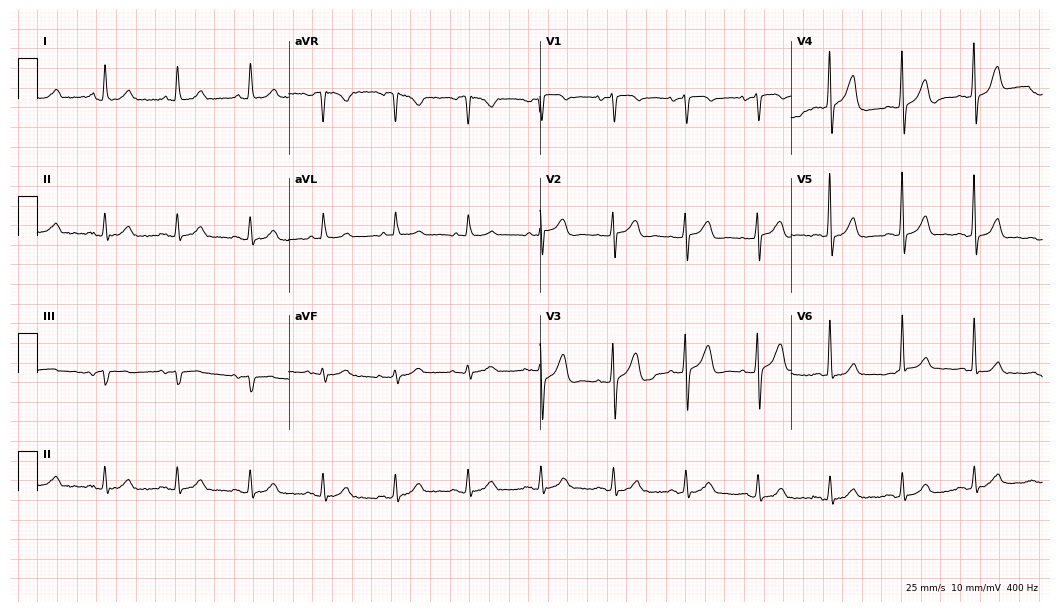
Standard 12-lead ECG recorded from a 69-year-old man. None of these six findings is recorded: first-degree AV block, right bundle branch block (RBBB), left bundle branch block (LBBB), sinus bradycardia, atrial fibrillation (AF), sinus tachycardia.